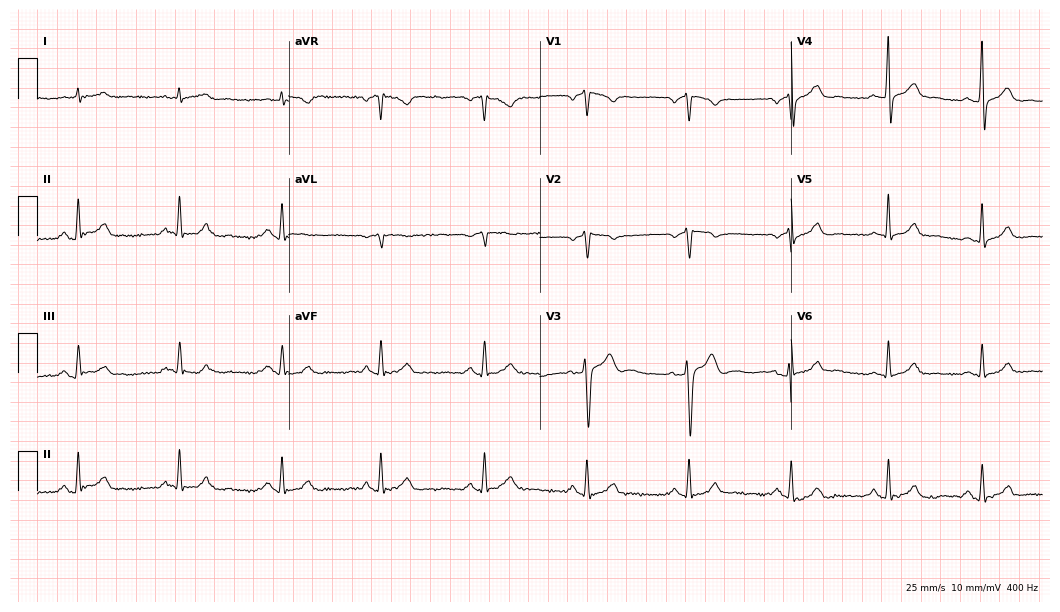
ECG — a 40-year-old male patient. Screened for six findings — first-degree AV block, right bundle branch block, left bundle branch block, sinus bradycardia, atrial fibrillation, sinus tachycardia — none is recorded.